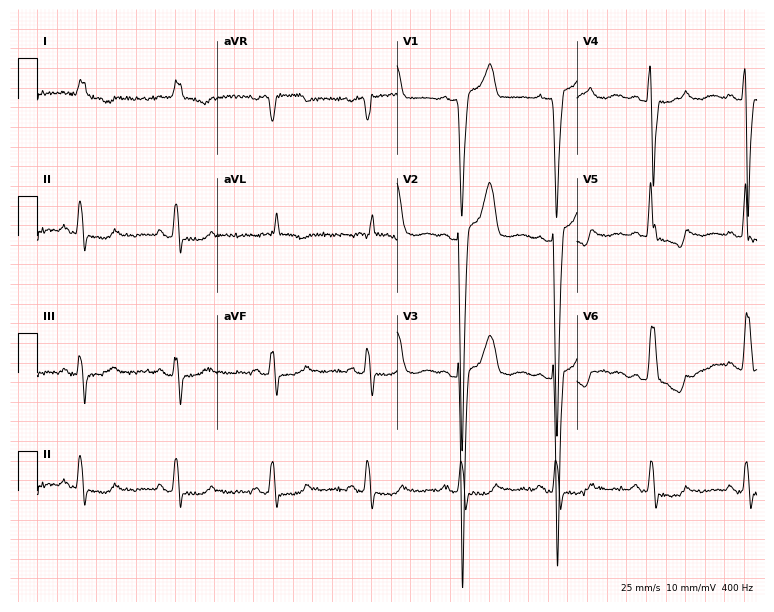
Standard 12-lead ECG recorded from a 79-year-old female (7.3-second recording at 400 Hz). The tracing shows left bundle branch block.